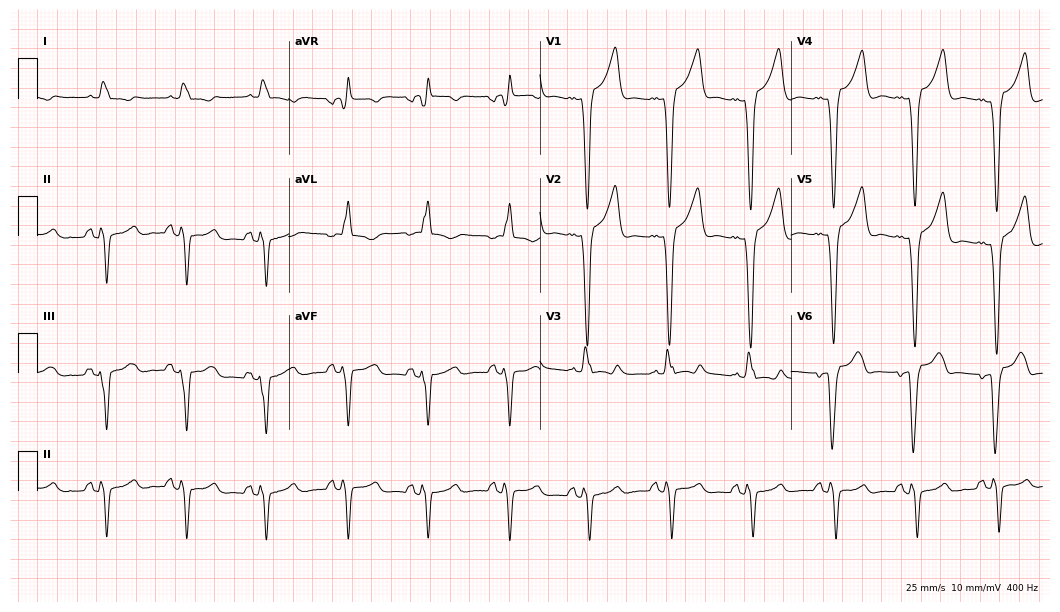
12-lead ECG from a male patient, 73 years old. Screened for six findings — first-degree AV block, right bundle branch block, left bundle branch block, sinus bradycardia, atrial fibrillation, sinus tachycardia — none is recorded. Other findings, if any, are not listed.